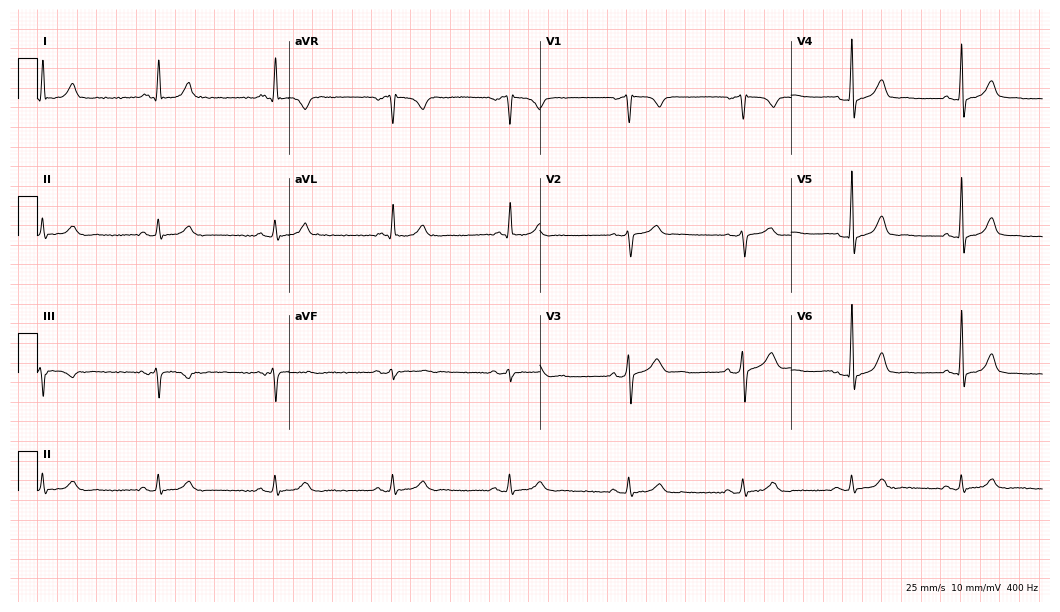
ECG — a 54-year-old male. Labelled as a normal ECG.